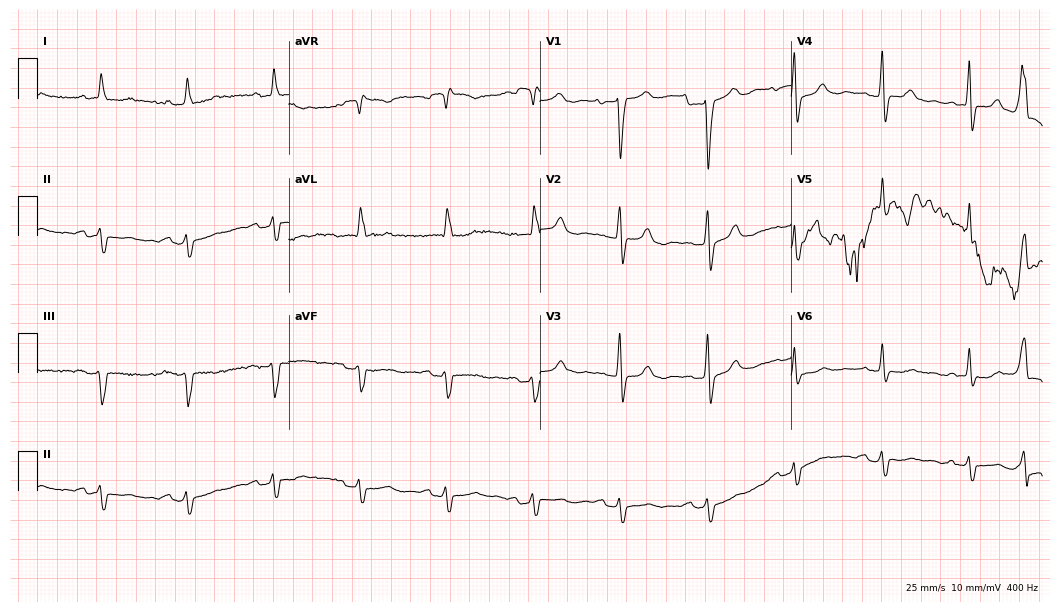
Standard 12-lead ECG recorded from a man, 84 years old (10.2-second recording at 400 Hz). The tracing shows first-degree AV block, atrial fibrillation.